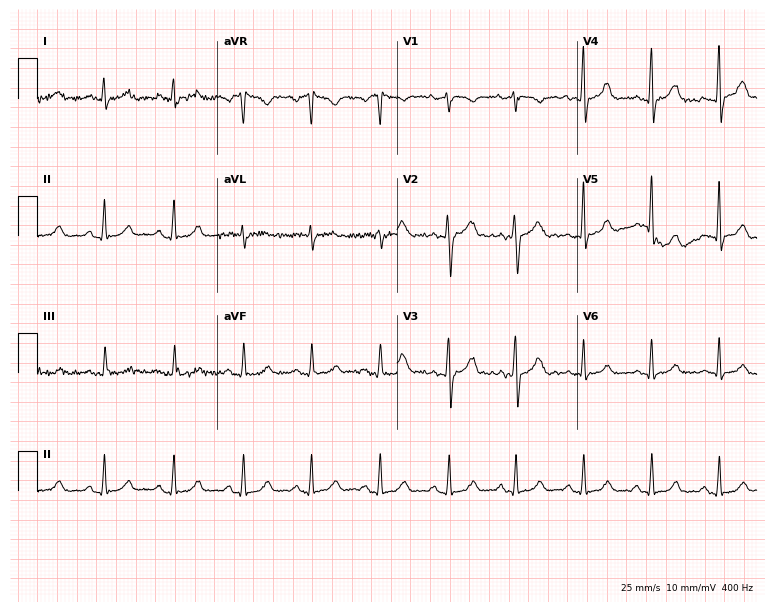
Standard 12-lead ECG recorded from a 36-year-old man. None of these six findings is recorded: first-degree AV block, right bundle branch block, left bundle branch block, sinus bradycardia, atrial fibrillation, sinus tachycardia. Findings outside these six are not listed.